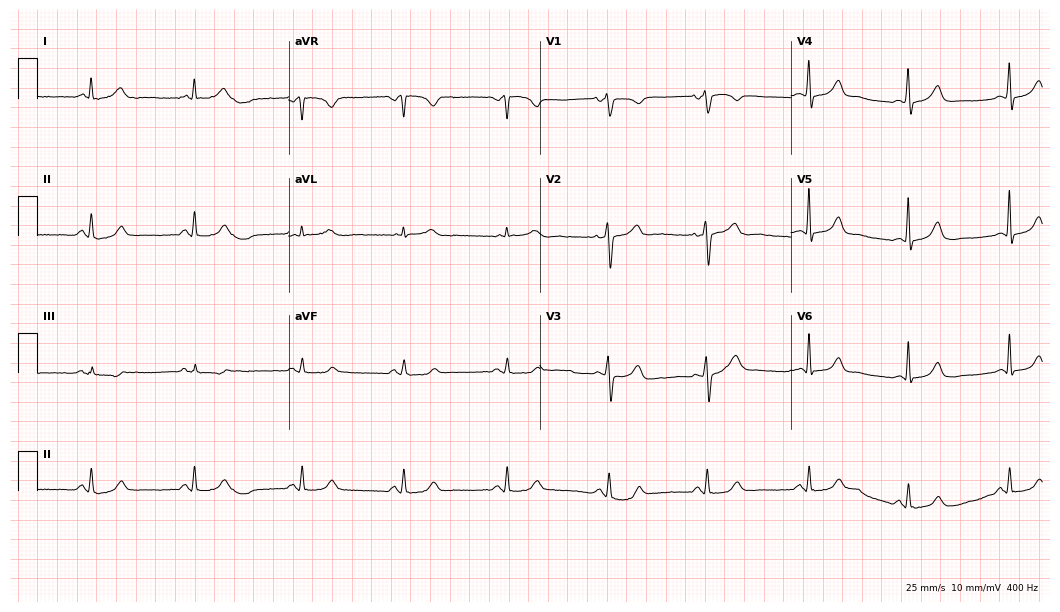
12-lead ECG (10.2-second recording at 400 Hz) from a 52-year-old female patient. Screened for six findings — first-degree AV block, right bundle branch block, left bundle branch block, sinus bradycardia, atrial fibrillation, sinus tachycardia — none is recorded. Other findings, if any, are not listed.